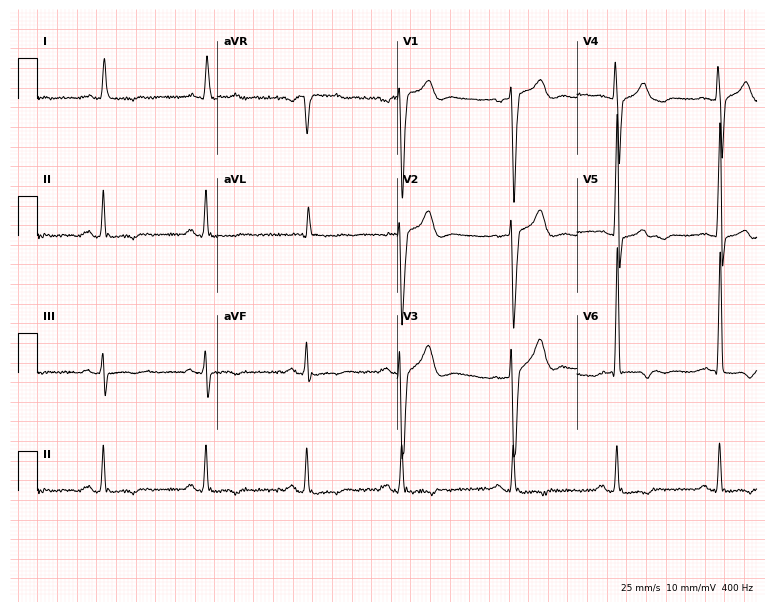
ECG (7.3-second recording at 400 Hz) — a male, 77 years old. Screened for six findings — first-degree AV block, right bundle branch block, left bundle branch block, sinus bradycardia, atrial fibrillation, sinus tachycardia — none is recorded.